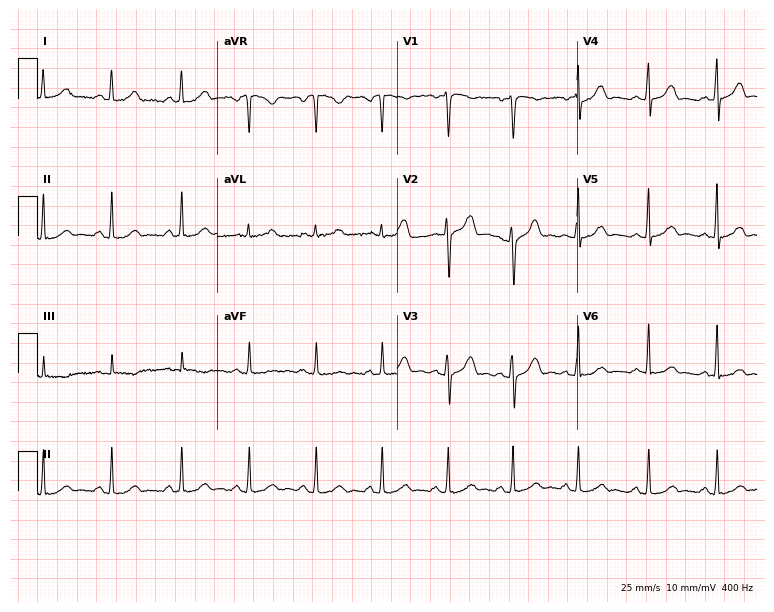
Electrocardiogram (7.3-second recording at 400 Hz), a 20-year-old woman. Overall reading on record: normal ECG.